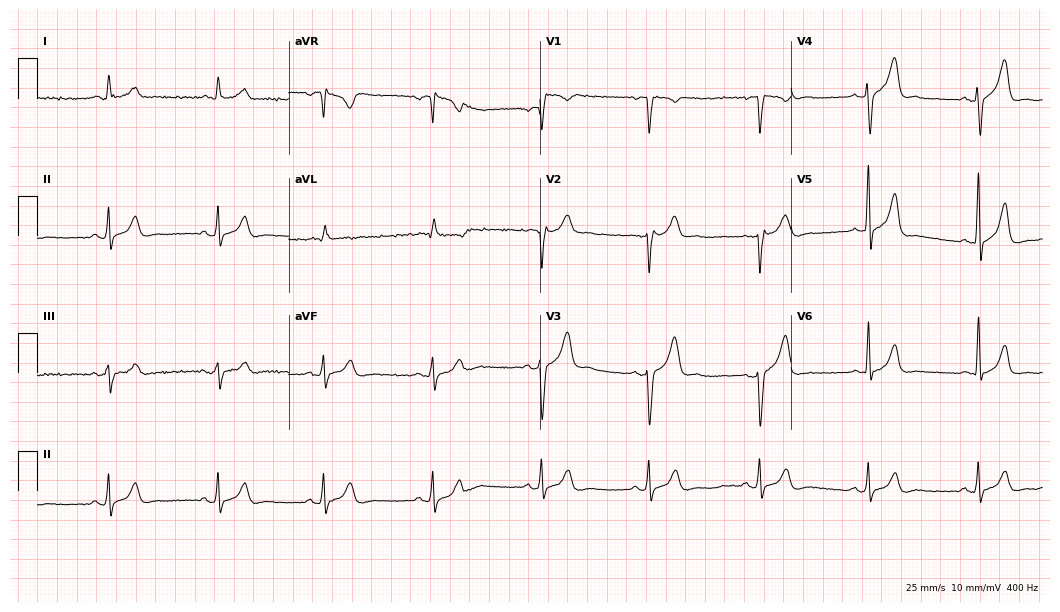
12-lead ECG (10.2-second recording at 400 Hz) from a male, 51 years old. Labelled as a normal ECG.